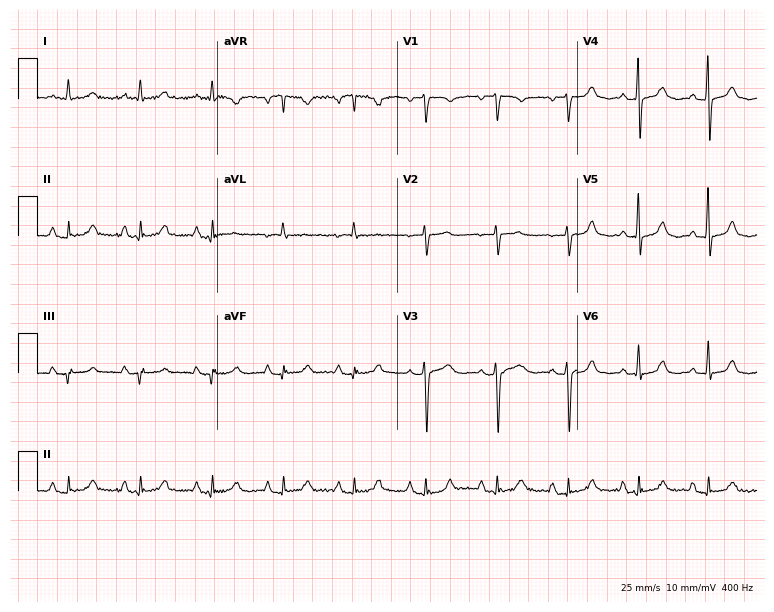
Electrocardiogram, a female patient, 58 years old. Of the six screened findings (first-degree AV block, right bundle branch block (RBBB), left bundle branch block (LBBB), sinus bradycardia, atrial fibrillation (AF), sinus tachycardia), none is recorded. Only these six findings were labelled.